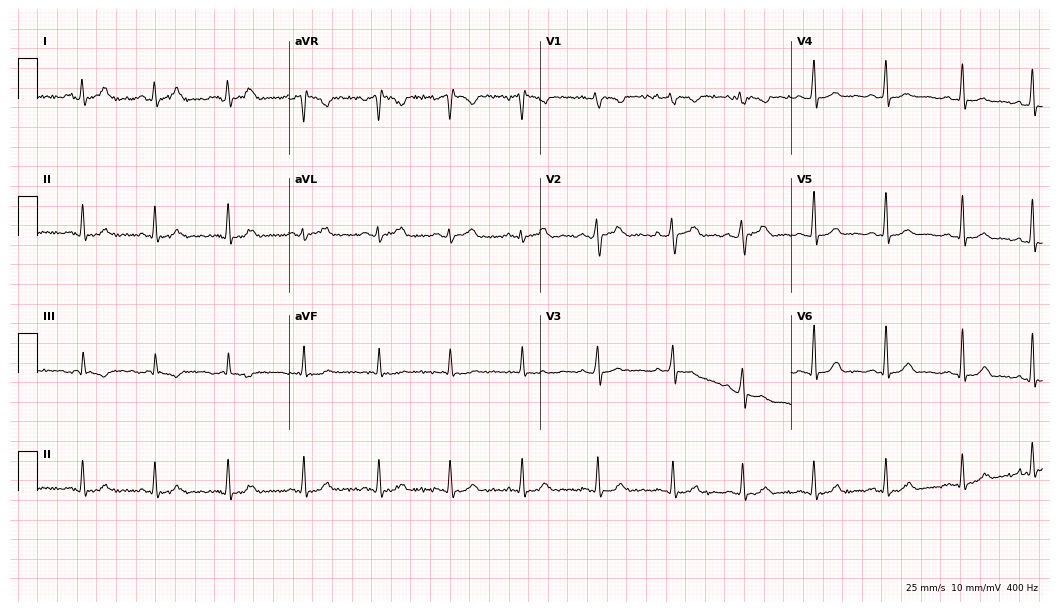
ECG — a woman, 24 years old. Labelled as a normal ECG.